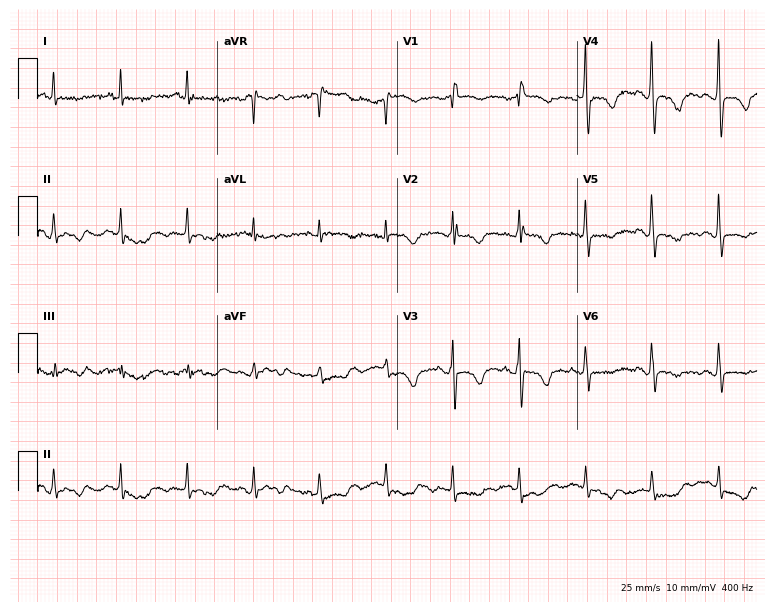
Standard 12-lead ECG recorded from a female patient, 65 years old. None of these six findings is recorded: first-degree AV block, right bundle branch block (RBBB), left bundle branch block (LBBB), sinus bradycardia, atrial fibrillation (AF), sinus tachycardia. Other findings, if any, are not listed.